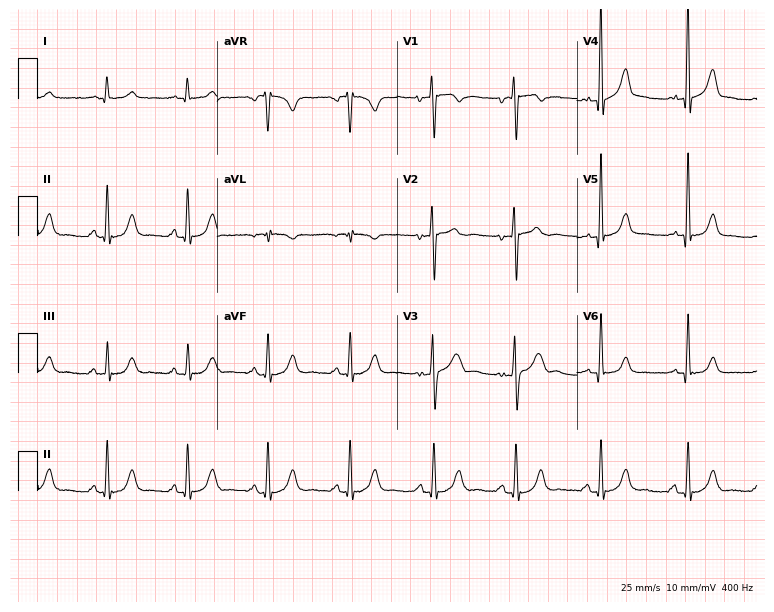
12-lead ECG from a 31-year-old man. Recorded interpretation: within normal limits.